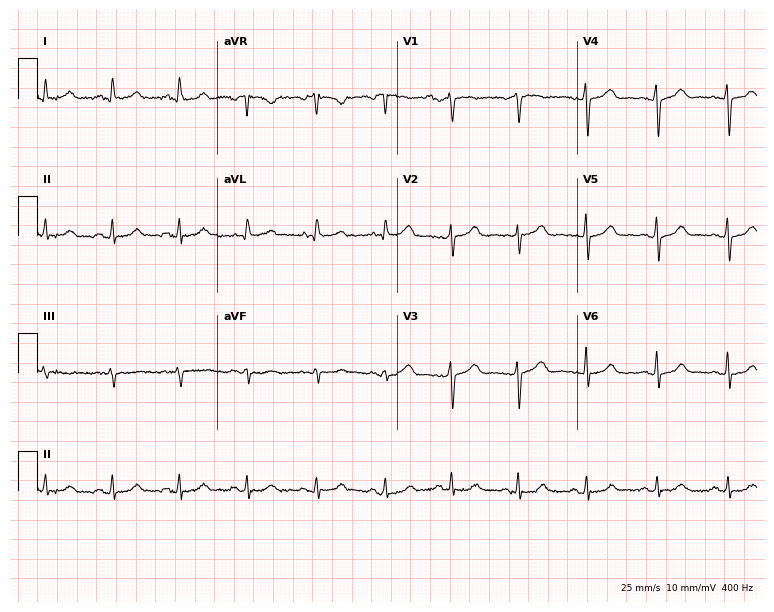
Resting 12-lead electrocardiogram. Patient: a 59-year-old female. Read as a normal ECG.